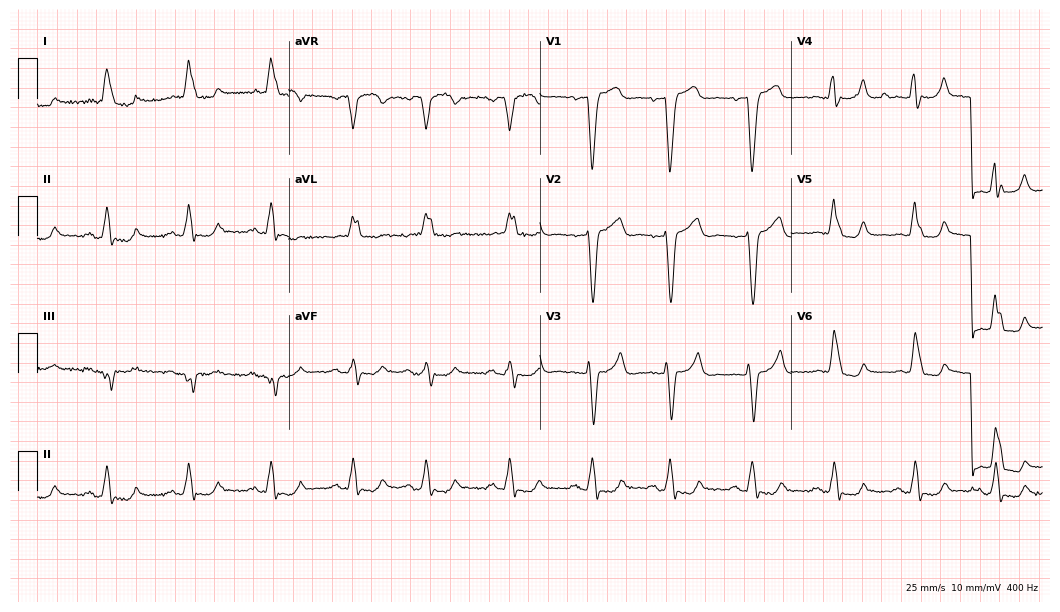
Electrocardiogram (10.2-second recording at 400 Hz), a female patient, 82 years old. Interpretation includes left bundle branch block.